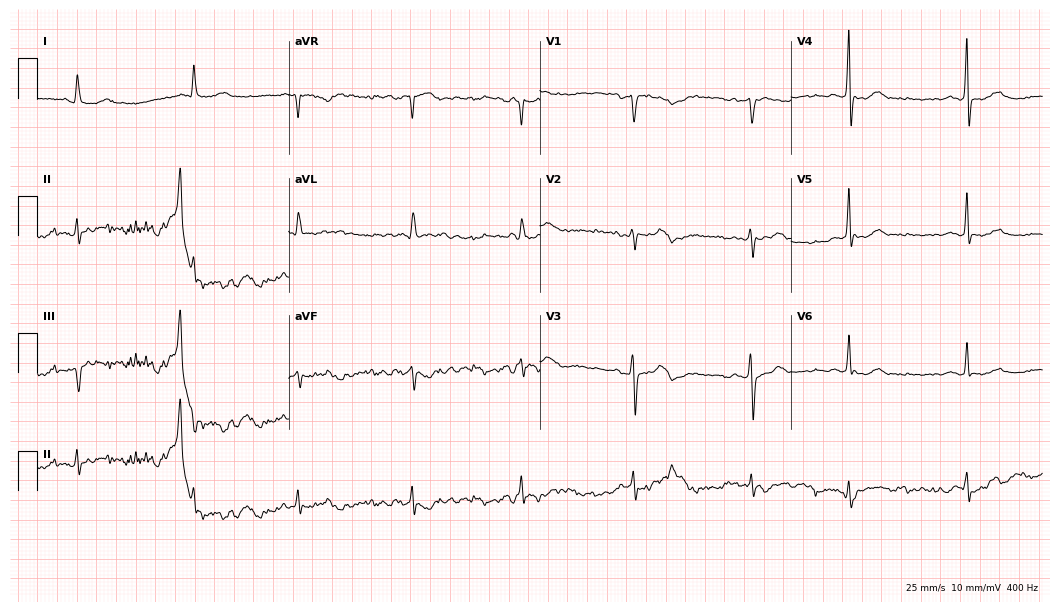
Electrocardiogram, a female patient, 64 years old. Of the six screened findings (first-degree AV block, right bundle branch block, left bundle branch block, sinus bradycardia, atrial fibrillation, sinus tachycardia), none is recorded. Findings outside these six are not listed.